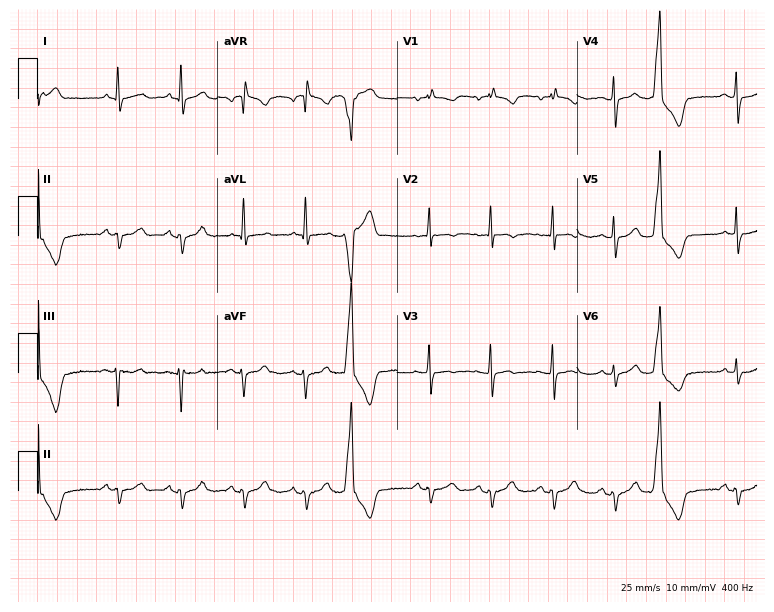
12-lead ECG from a woman, 60 years old. No first-degree AV block, right bundle branch block, left bundle branch block, sinus bradycardia, atrial fibrillation or sinus tachycardia recorded for this tracing.